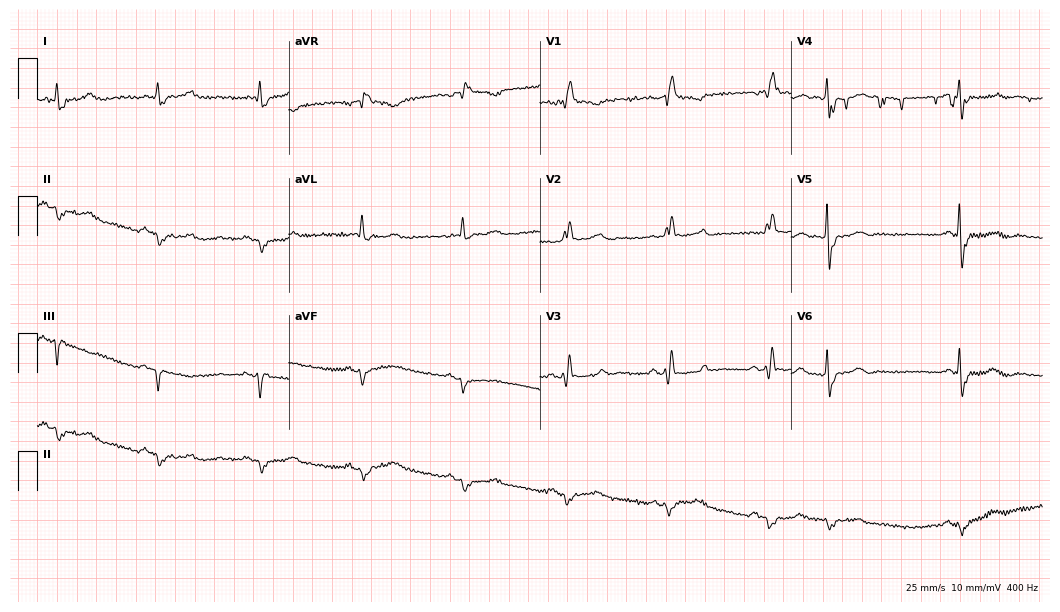
Electrocardiogram, a male, 80 years old. Interpretation includes right bundle branch block (RBBB).